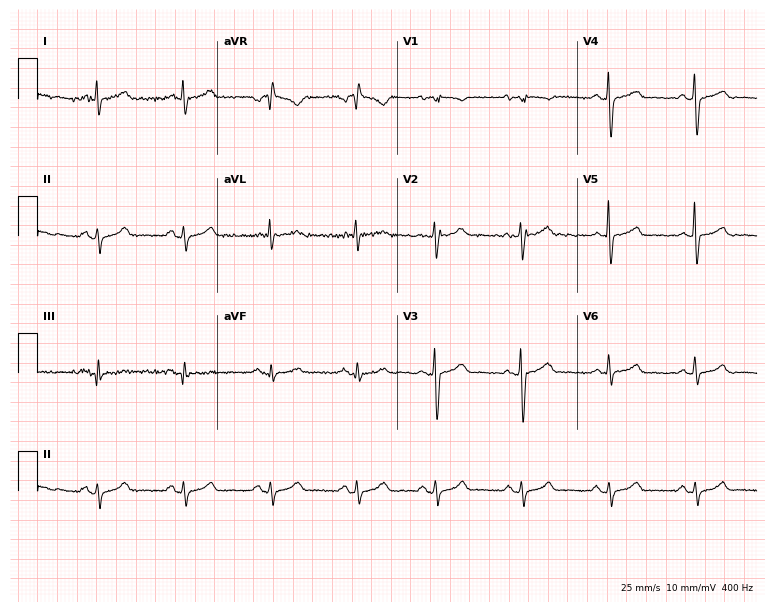
Standard 12-lead ECG recorded from a 59-year-old woman. Read as a normal ECG.